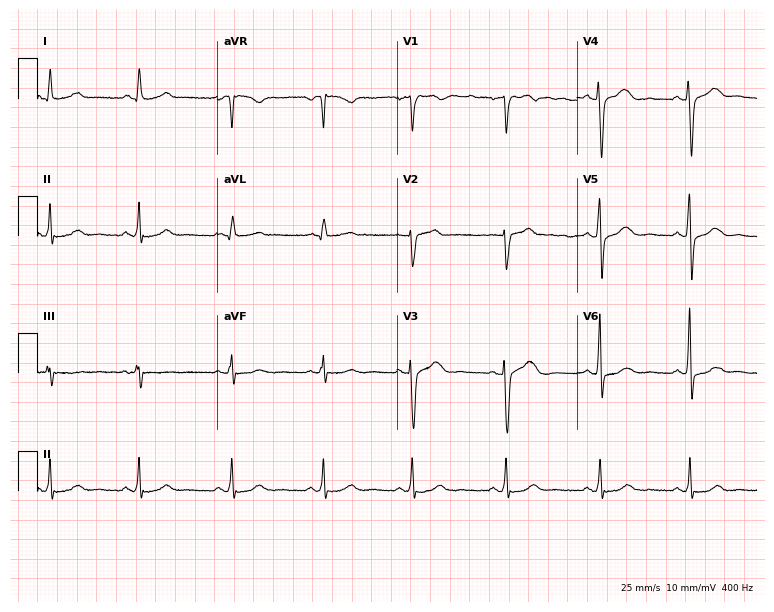
Electrocardiogram (7.3-second recording at 400 Hz), a female, 45 years old. Of the six screened findings (first-degree AV block, right bundle branch block (RBBB), left bundle branch block (LBBB), sinus bradycardia, atrial fibrillation (AF), sinus tachycardia), none is recorded. Findings outside these six are not listed.